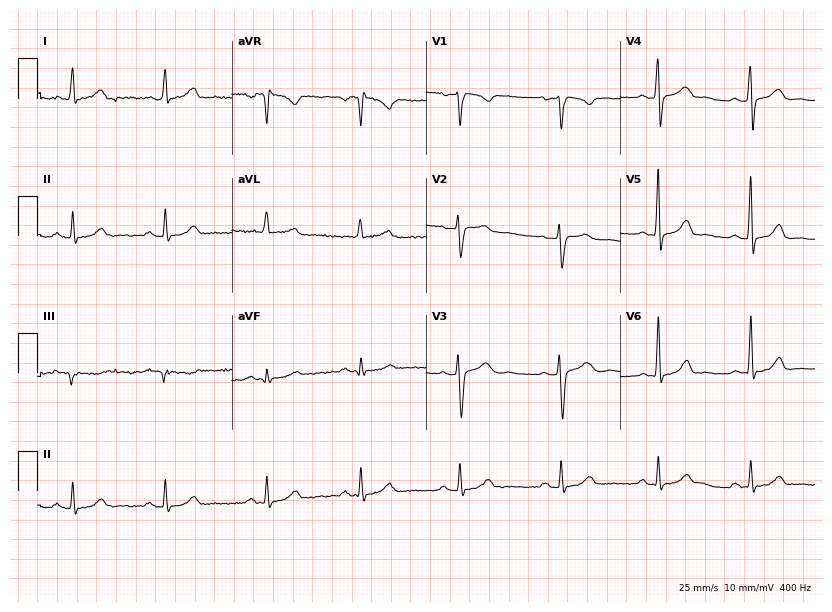
Resting 12-lead electrocardiogram (7.9-second recording at 400 Hz). Patient: a female, 38 years old. Read as a normal ECG.